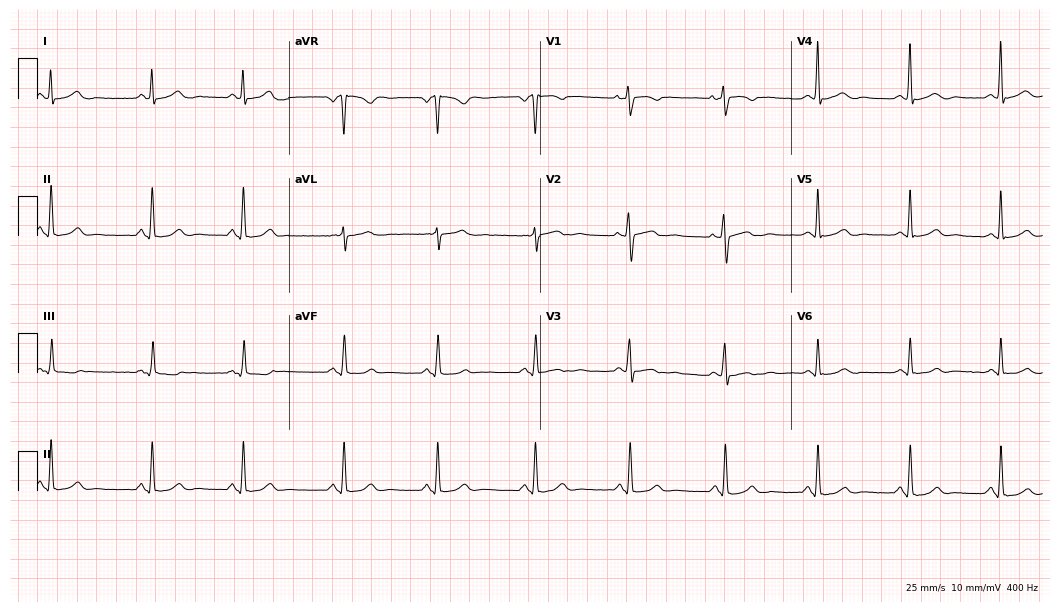
ECG (10.2-second recording at 400 Hz) — a 36-year-old woman. Labelled as a normal ECG.